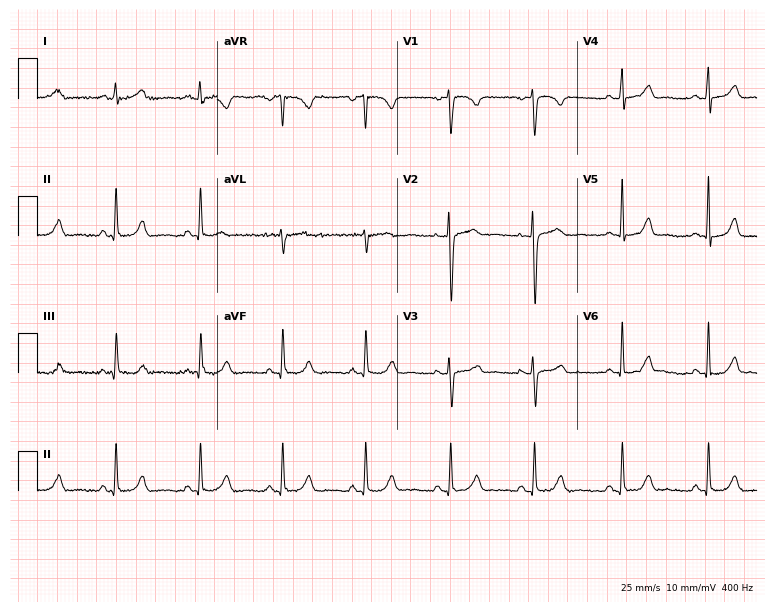
Resting 12-lead electrocardiogram (7.3-second recording at 400 Hz). Patient: a female, 30 years old. Read as a normal ECG.